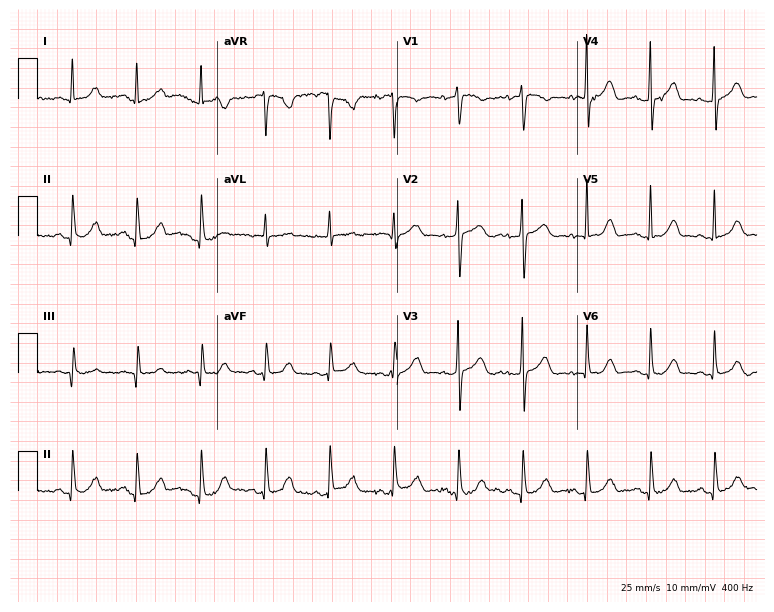
Standard 12-lead ECG recorded from a 65-year-old female patient. Read as a normal ECG.